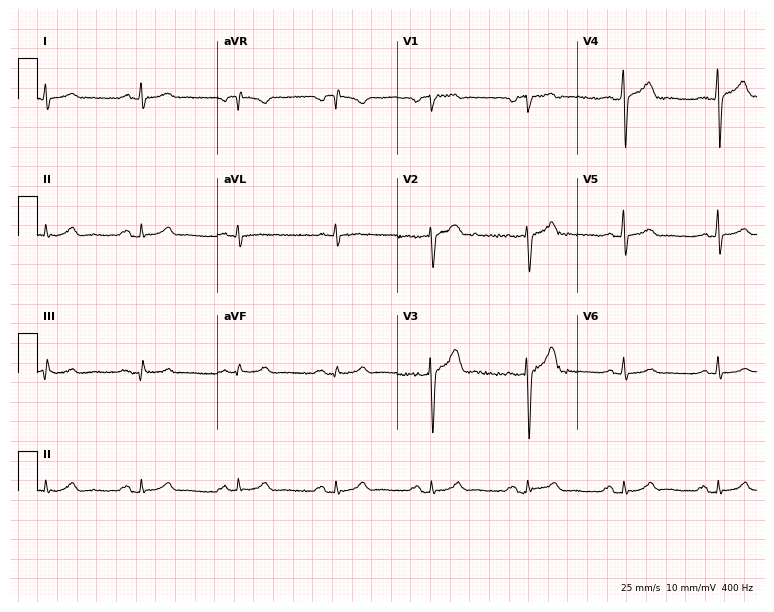
ECG (7.3-second recording at 400 Hz) — a male patient, 44 years old. Labelled as a normal ECG.